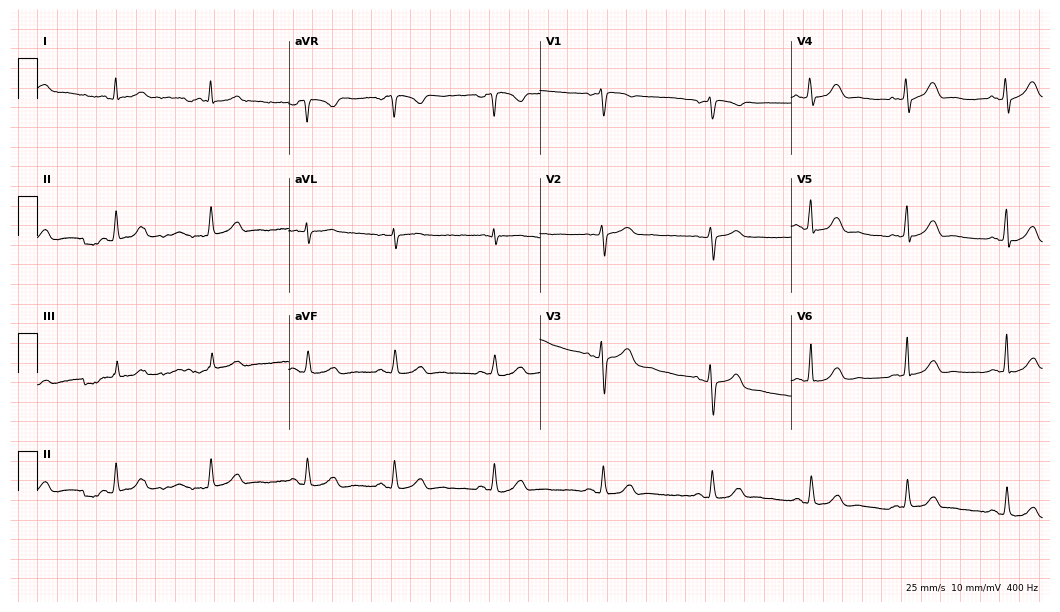
12-lead ECG from a 50-year-old female patient. No first-degree AV block, right bundle branch block (RBBB), left bundle branch block (LBBB), sinus bradycardia, atrial fibrillation (AF) or sinus tachycardia recorded for this tracing. Other findings, if any, are not listed.